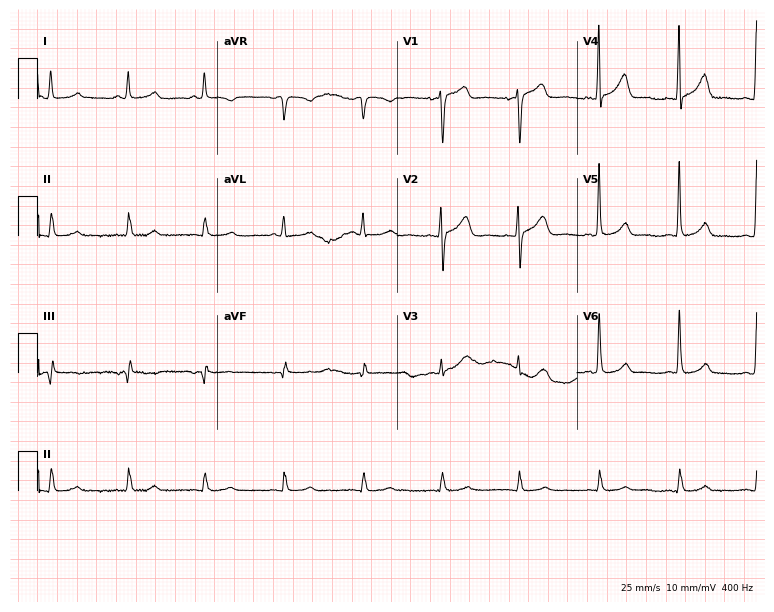
Resting 12-lead electrocardiogram. Patient: a 72-year-old woman. Read as a normal ECG.